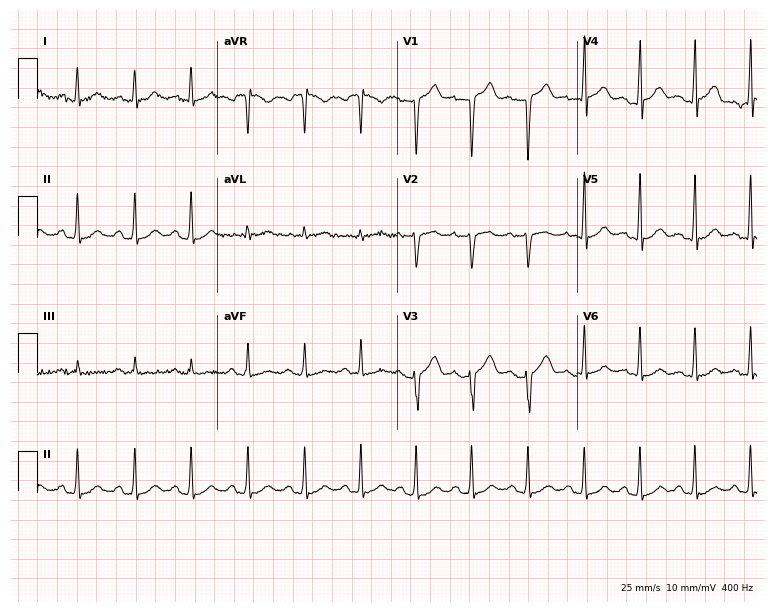
Resting 12-lead electrocardiogram. Patient: a 21-year-old male. The tracing shows sinus tachycardia (a sinus rate of 100 beats per minute or more).